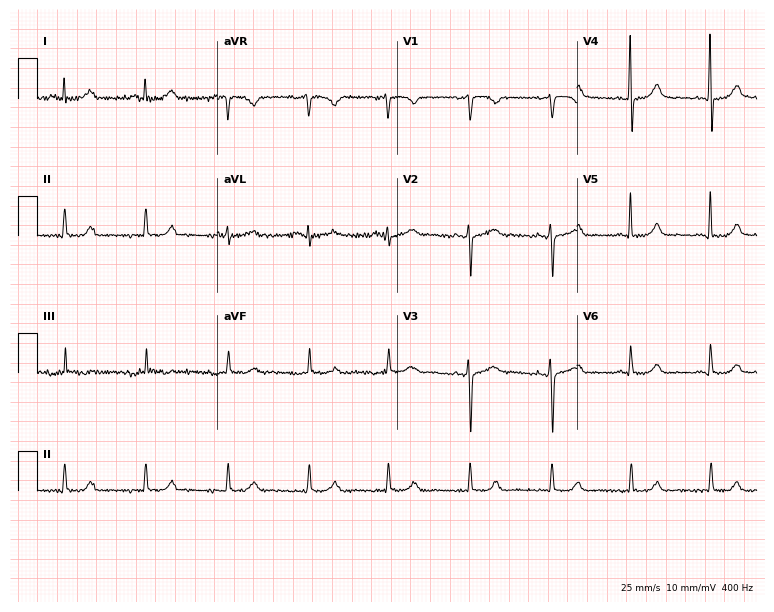
ECG — a 46-year-old female patient. Screened for six findings — first-degree AV block, right bundle branch block, left bundle branch block, sinus bradycardia, atrial fibrillation, sinus tachycardia — none is recorded.